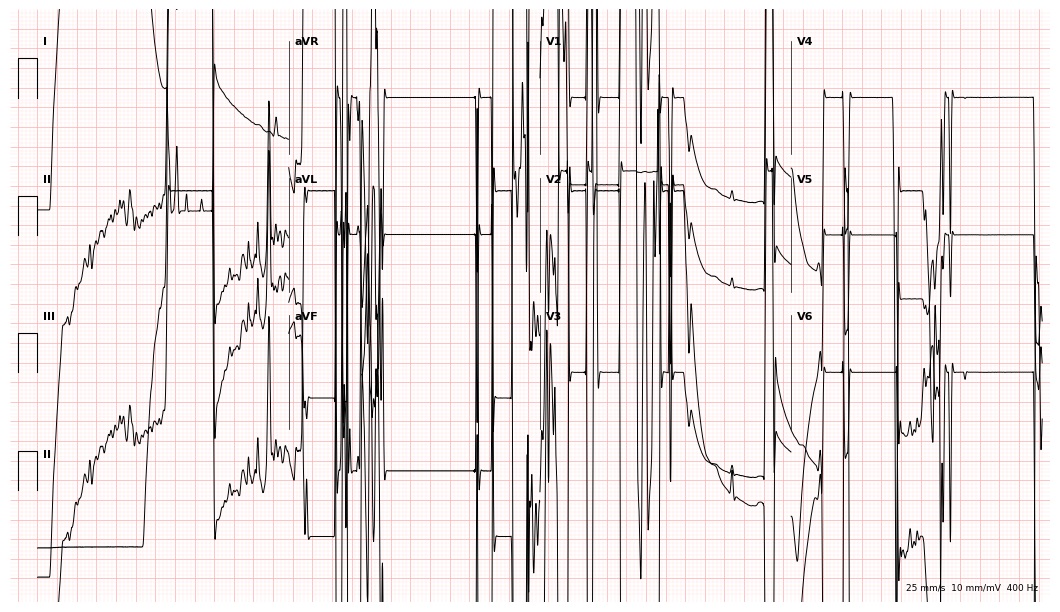
12-lead ECG from a 42-year-old female. Screened for six findings — first-degree AV block, right bundle branch block, left bundle branch block, sinus bradycardia, atrial fibrillation, sinus tachycardia — none is recorded. Other findings, if any, are not listed.